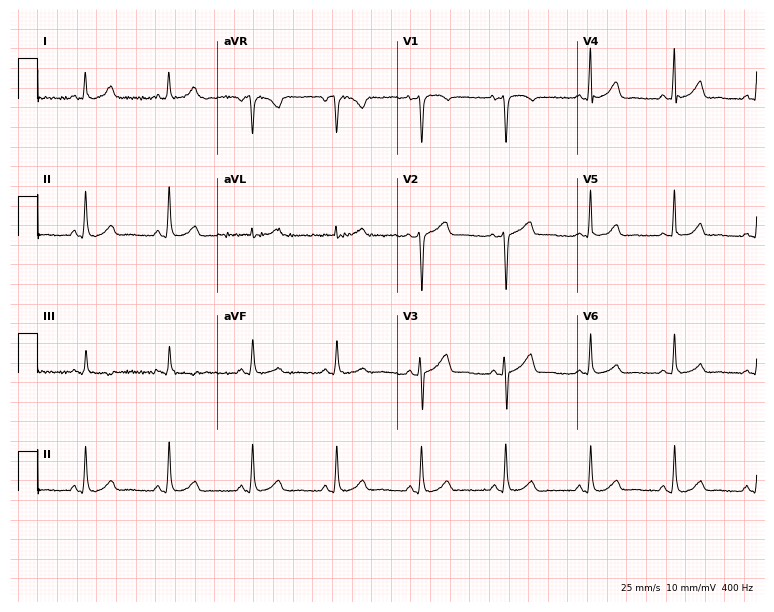
Electrocardiogram, a 47-year-old female patient. Overall reading on record: normal ECG.